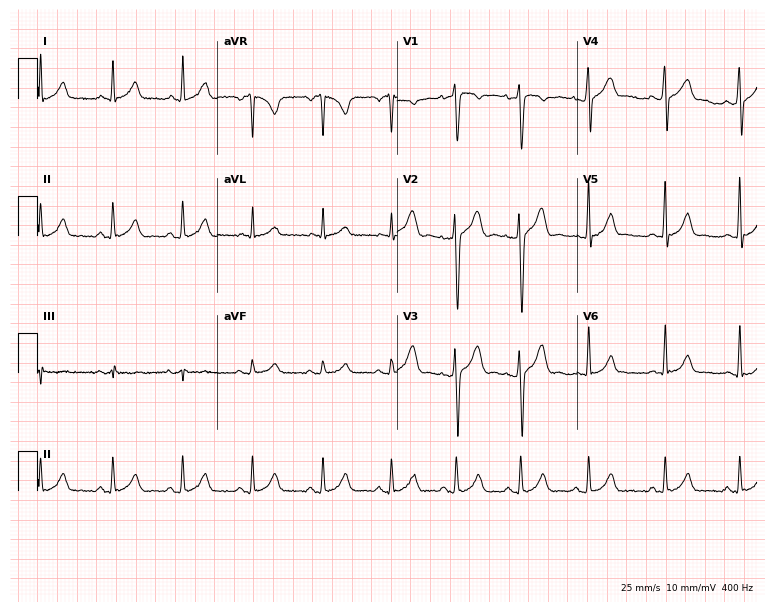
Resting 12-lead electrocardiogram (7.3-second recording at 400 Hz). Patient: a 22-year-old man. None of these six findings is recorded: first-degree AV block, right bundle branch block, left bundle branch block, sinus bradycardia, atrial fibrillation, sinus tachycardia.